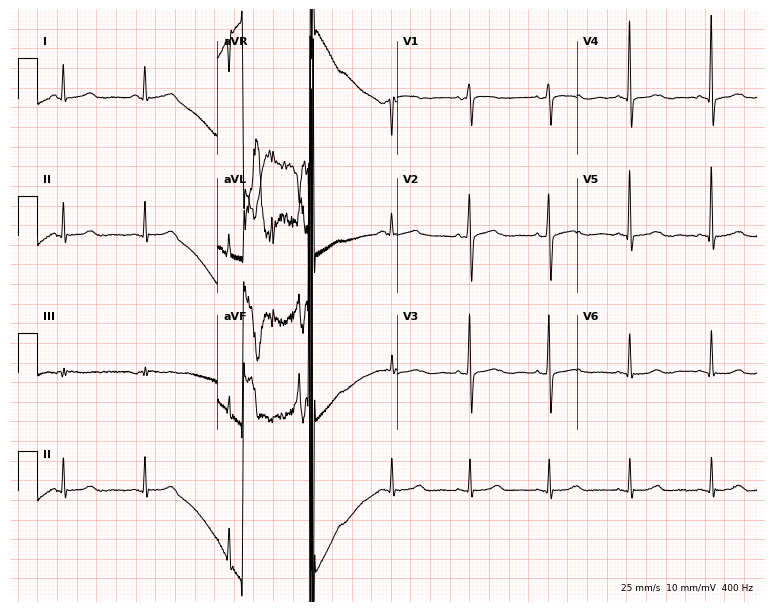
Resting 12-lead electrocardiogram (7.3-second recording at 400 Hz). Patient: a 68-year-old female. Read as a normal ECG.